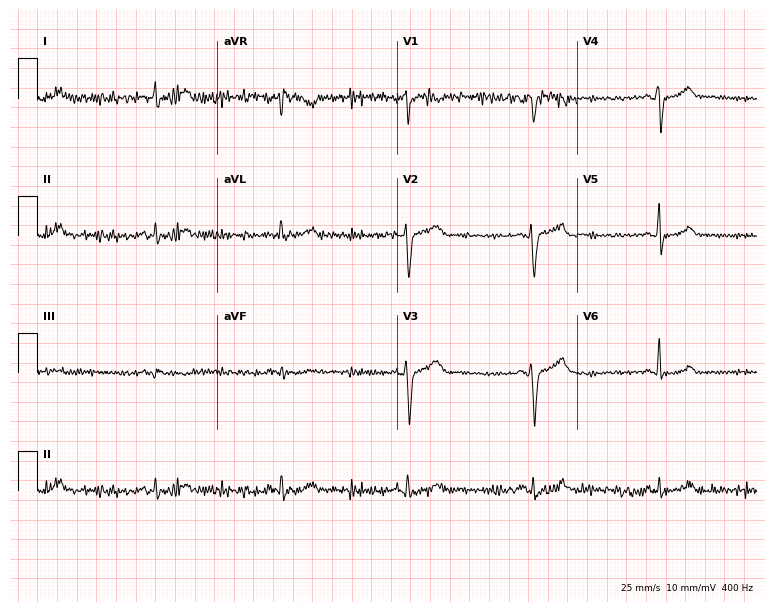
Standard 12-lead ECG recorded from a 34-year-old male patient (7.3-second recording at 400 Hz). None of these six findings is recorded: first-degree AV block, right bundle branch block (RBBB), left bundle branch block (LBBB), sinus bradycardia, atrial fibrillation (AF), sinus tachycardia. Only these six findings were labelled.